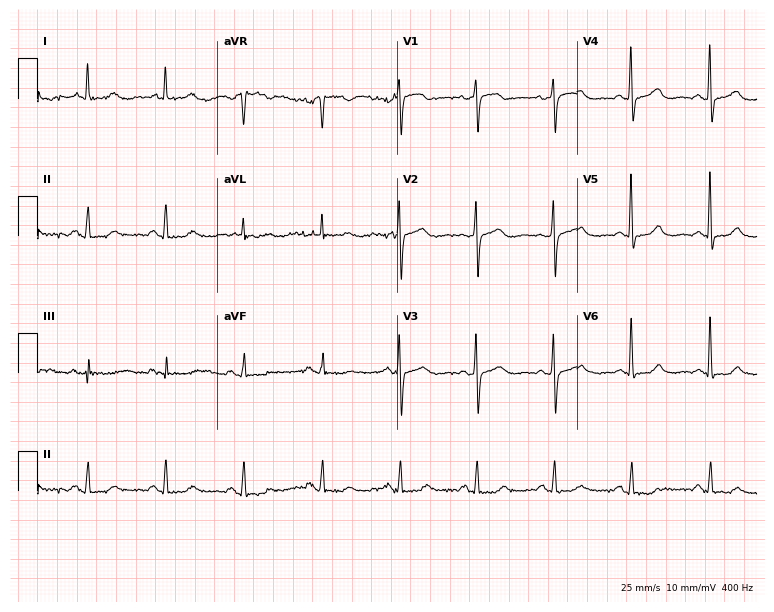
ECG — a 76-year-old woman. Labelled as a normal ECG.